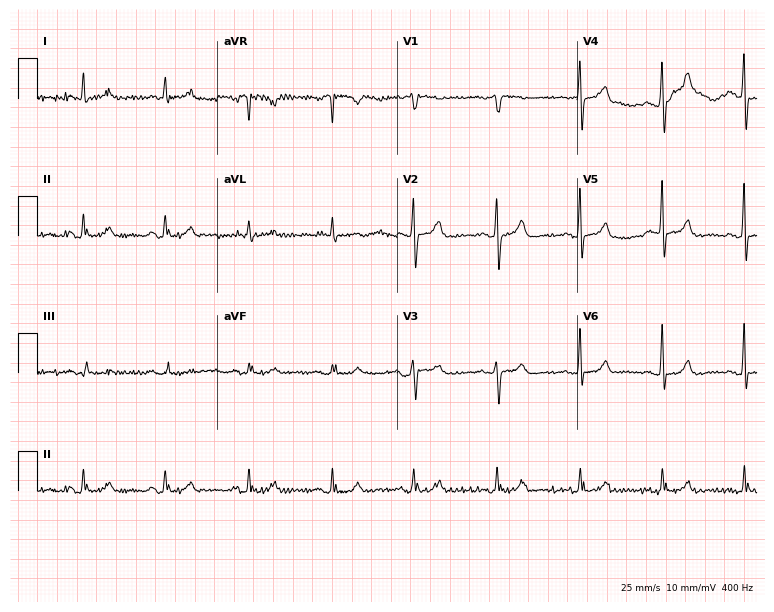
Resting 12-lead electrocardiogram (7.3-second recording at 400 Hz). Patient: a woman, 77 years old. None of these six findings is recorded: first-degree AV block, right bundle branch block, left bundle branch block, sinus bradycardia, atrial fibrillation, sinus tachycardia.